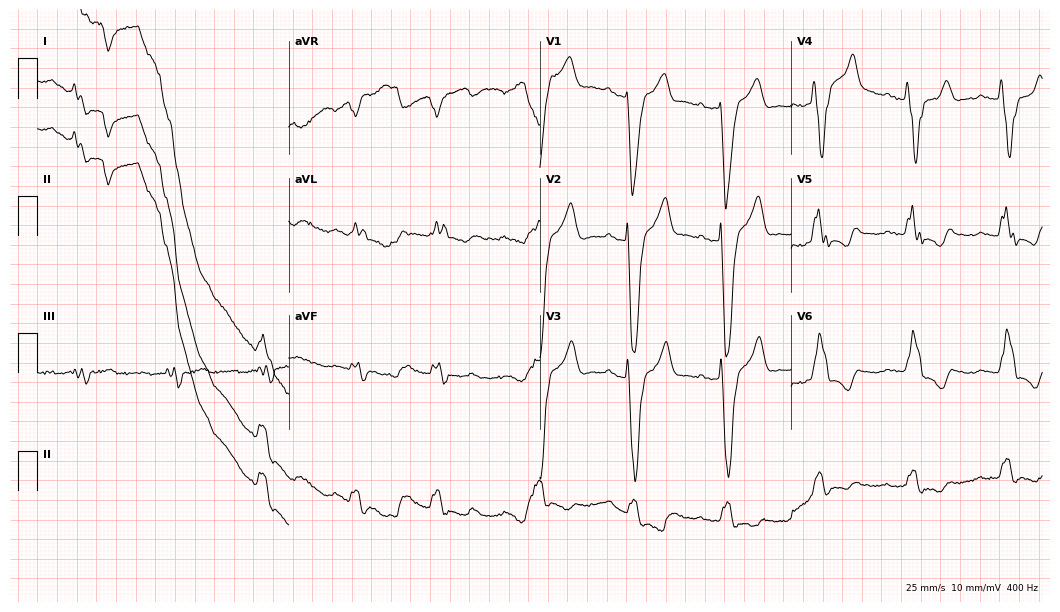
Resting 12-lead electrocardiogram (10.2-second recording at 400 Hz). Patient: a male, 81 years old. None of these six findings is recorded: first-degree AV block, right bundle branch block, left bundle branch block, sinus bradycardia, atrial fibrillation, sinus tachycardia. Findings outside these six are not listed.